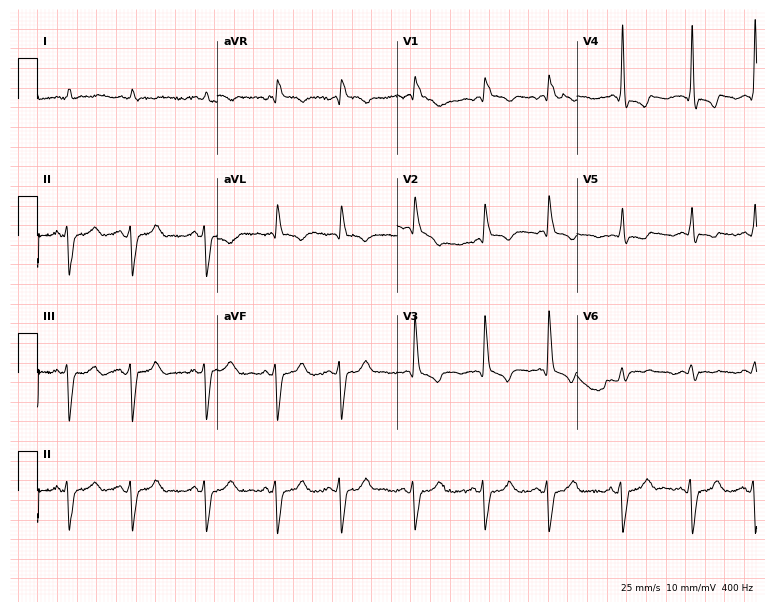
ECG — an 80-year-old woman. Findings include right bundle branch block (RBBB).